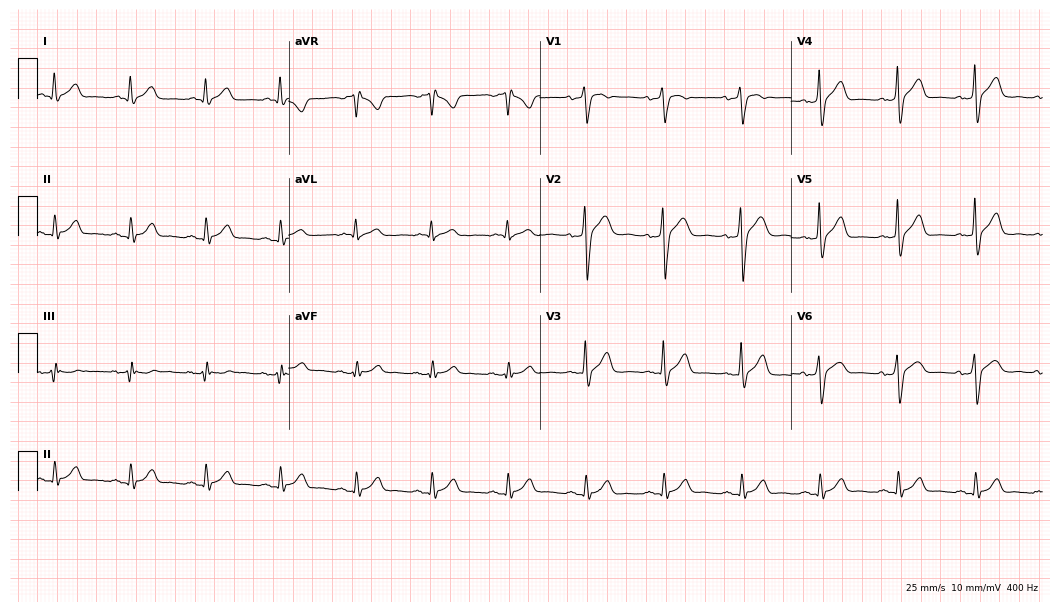
12-lead ECG from a 49-year-old male patient (10.2-second recording at 400 Hz). Recorded interpretation: within normal limits.